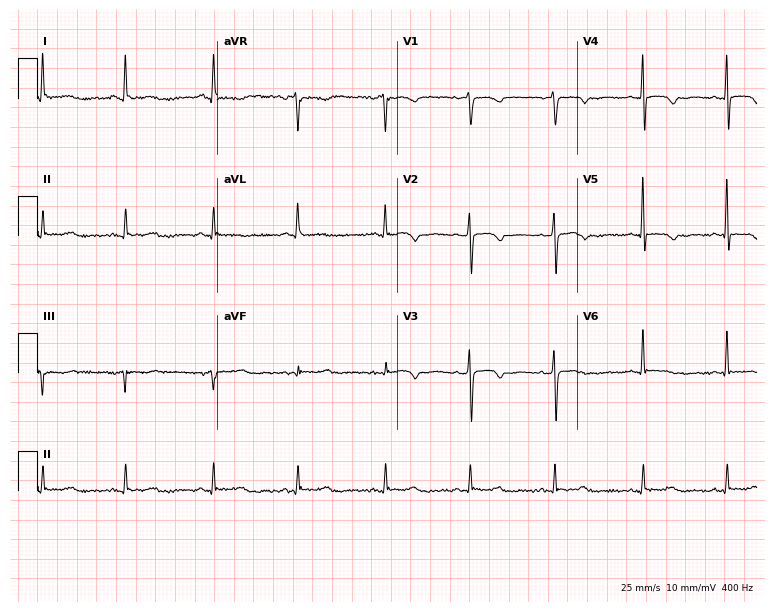
ECG (7.3-second recording at 400 Hz) — a 77-year-old woman. Screened for six findings — first-degree AV block, right bundle branch block, left bundle branch block, sinus bradycardia, atrial fibrillation, sinus tachycardia — none is recorded. Other findings, if any, are not listed.